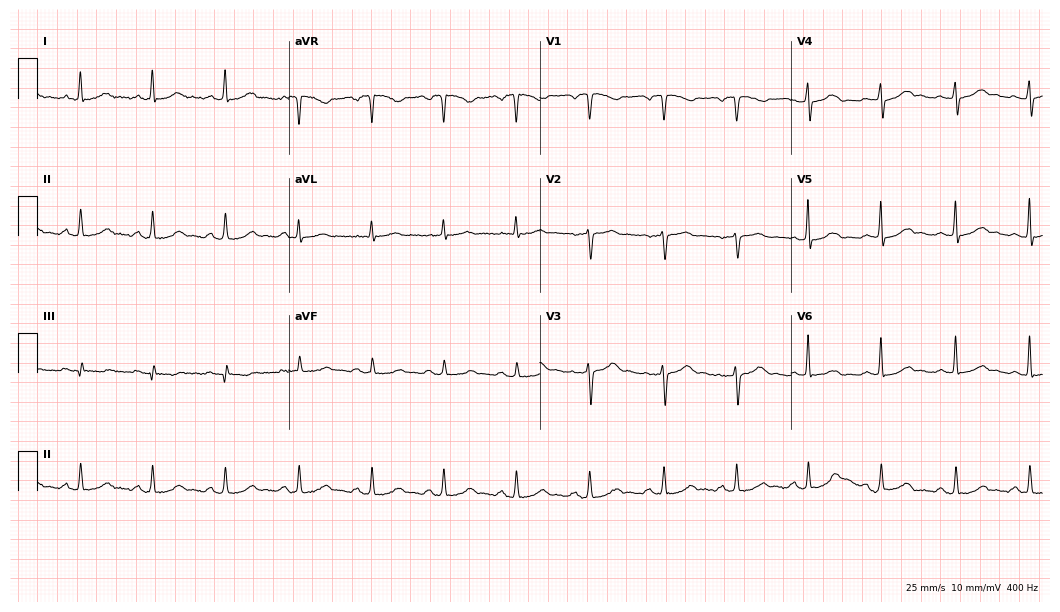
ECG (10.2-second recording at 400 Hz) — a 57-year-old female. Screened for six findings — first-degree AV block, right bundle branch block, left bundle branch block, sinus bradycardia, atrial fibrillation, sinus tachycardia — none is recorded. Findings outside these six are not listed.